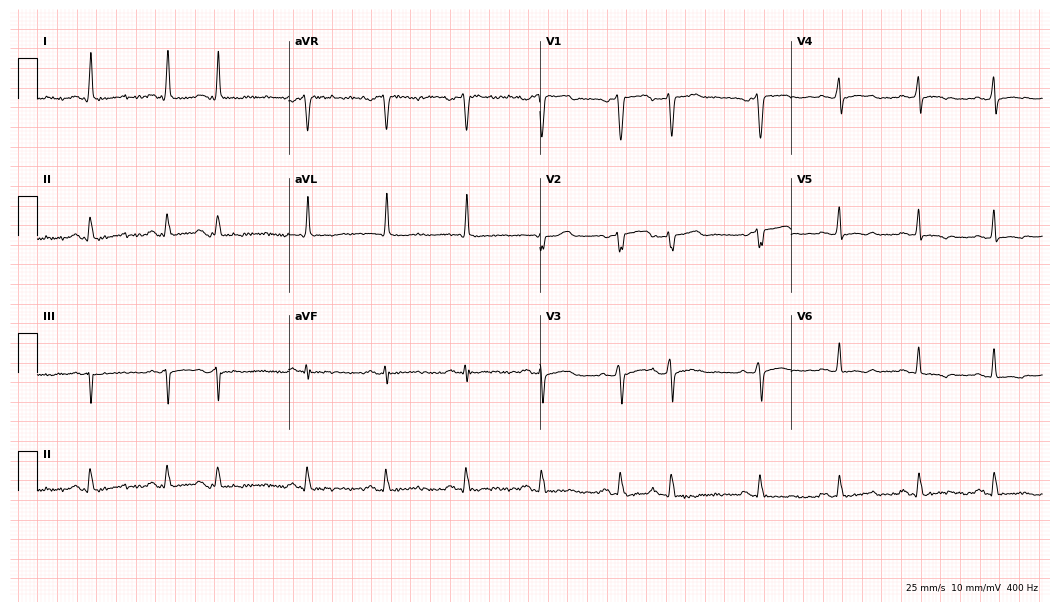
ECG — a female patient, 58 years old. Screened for six findings — first-degree AV block, right bundle branch block (RBBB), left bundle branch block (LBBB), sinus bradycardia, atrial fibrillation (AF), sinus tachycardia — none is recorded.